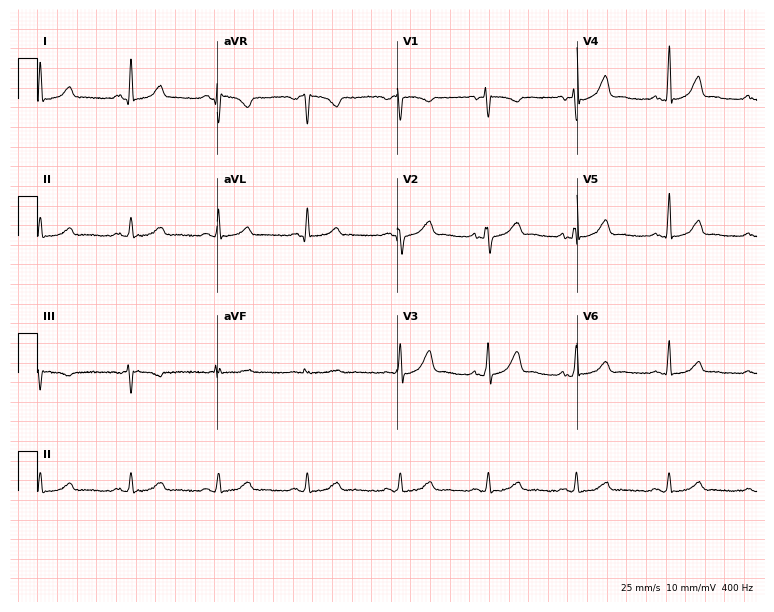
Electrocardiogram (7.3-second recording at 400 Hz), a female patient, 52 years old. Overall reading on record: normal ECG.